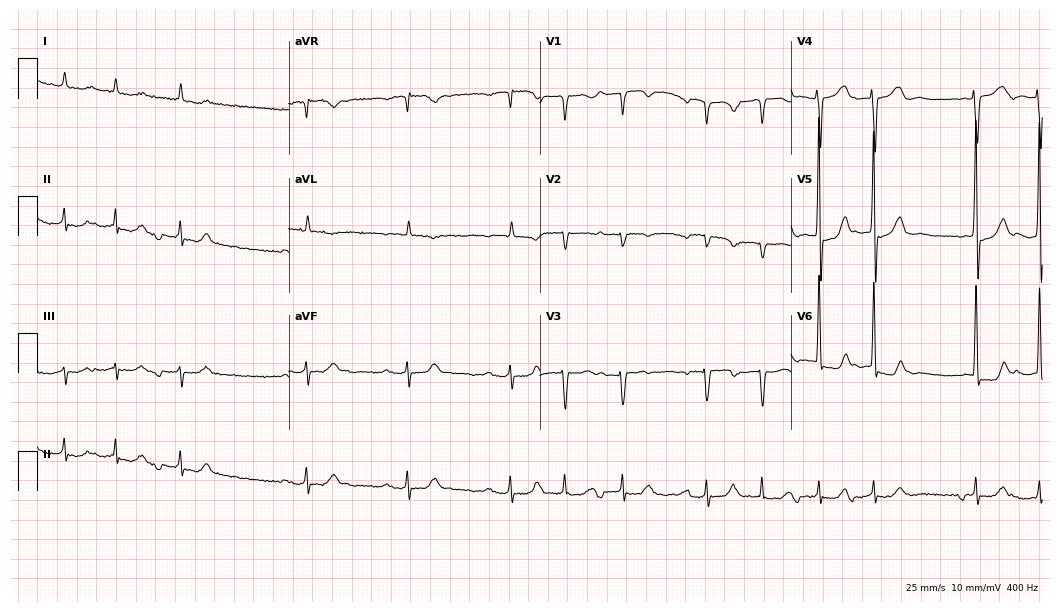
12-lead ECG from a female, 83 years old. Shows first-degree AV block.